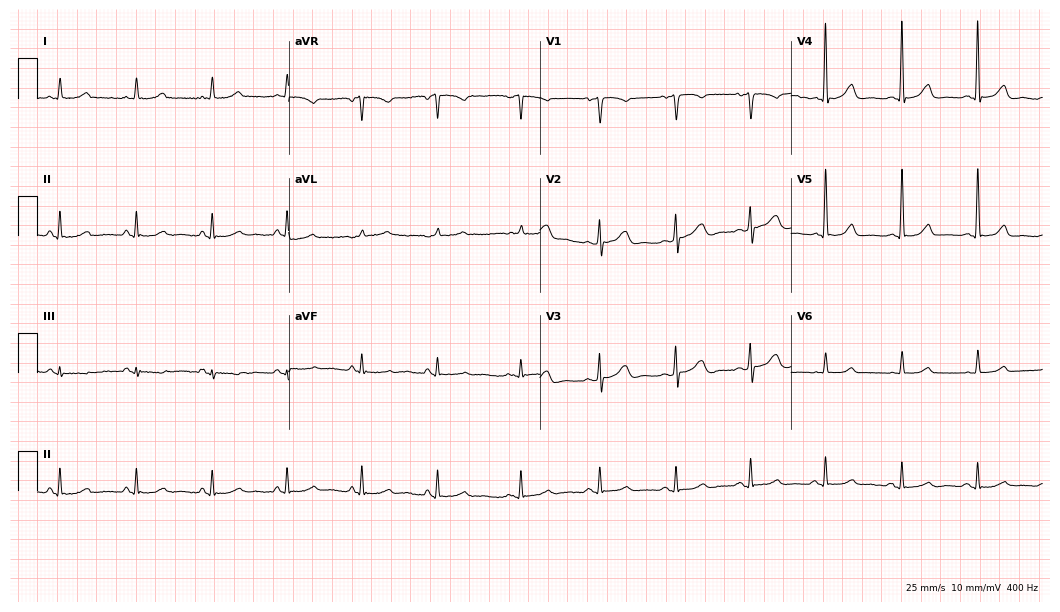
ECG — an 82-year-old female patient. Labelled as a normal ECG.